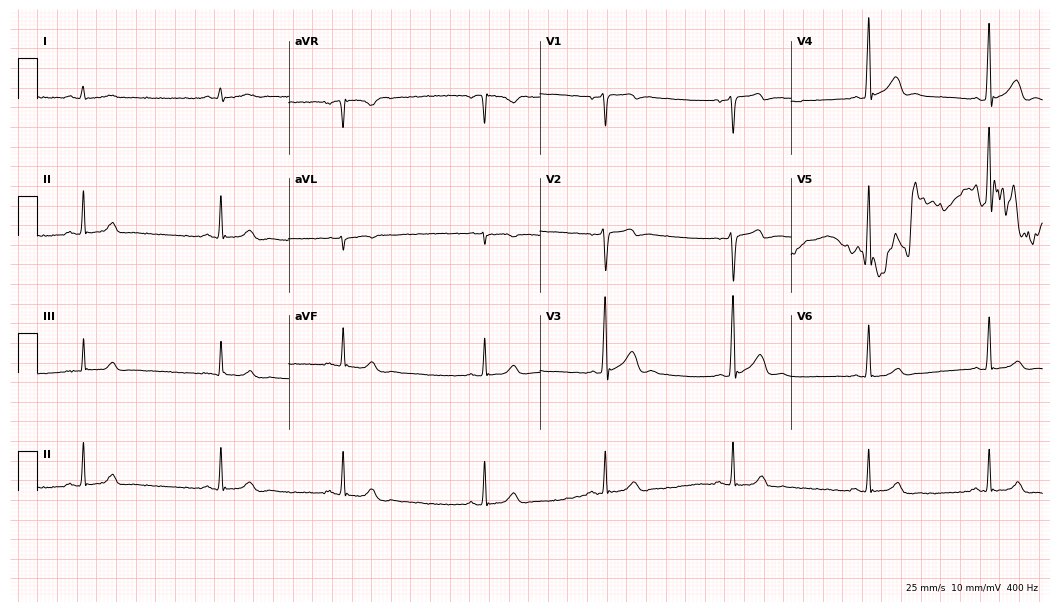
12-lead ECG from a man, 35 years old (10.2-second recording at 400 Hz). Shows sinus bradycardia (a sinus rate of 50 beats per minute or less).